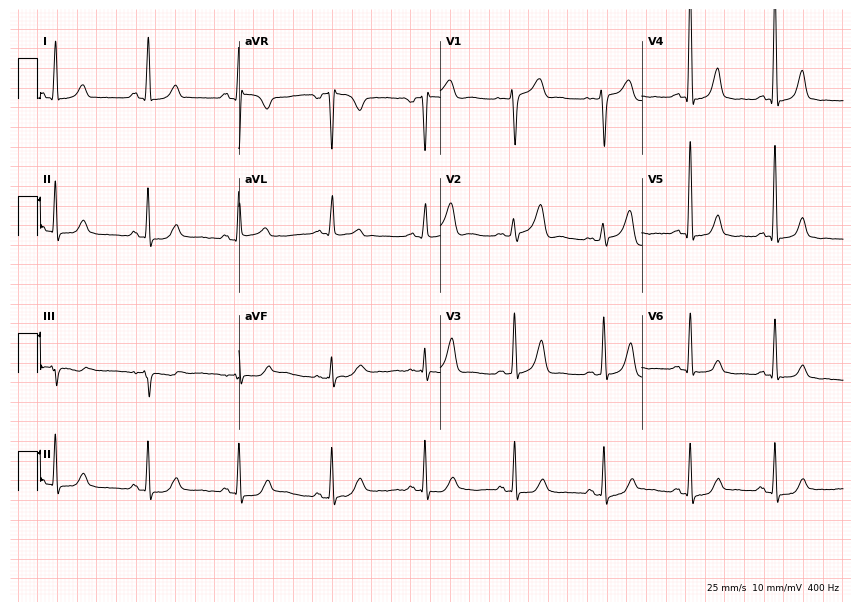
ECG — a male patient, 45 years old. Screened for six findings — first-degree AV block, right bundle branch block, left bundle branch block, sinus bradycardia, atrial fibrillation, sinus tachycardia — none is recorded.